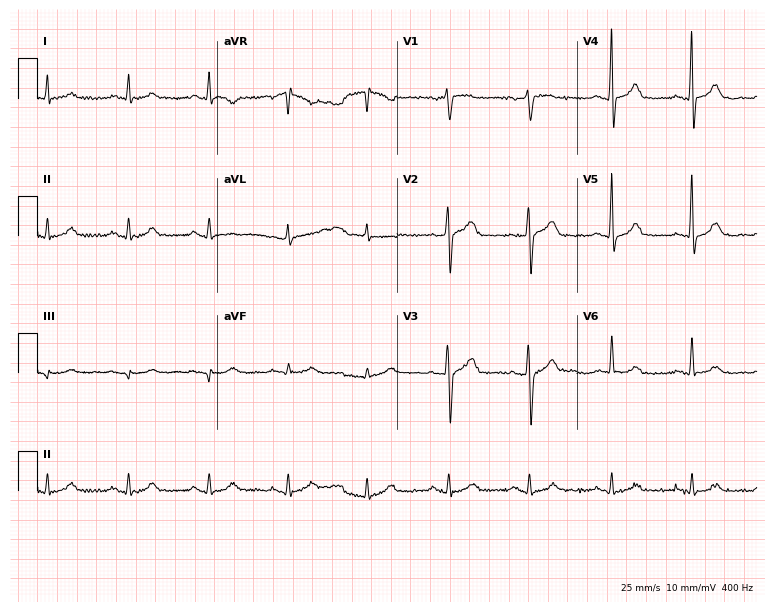
ECG (7.3-second recording at 400 Hz) — a man, 66 years old. Labelled as a normal ECG.